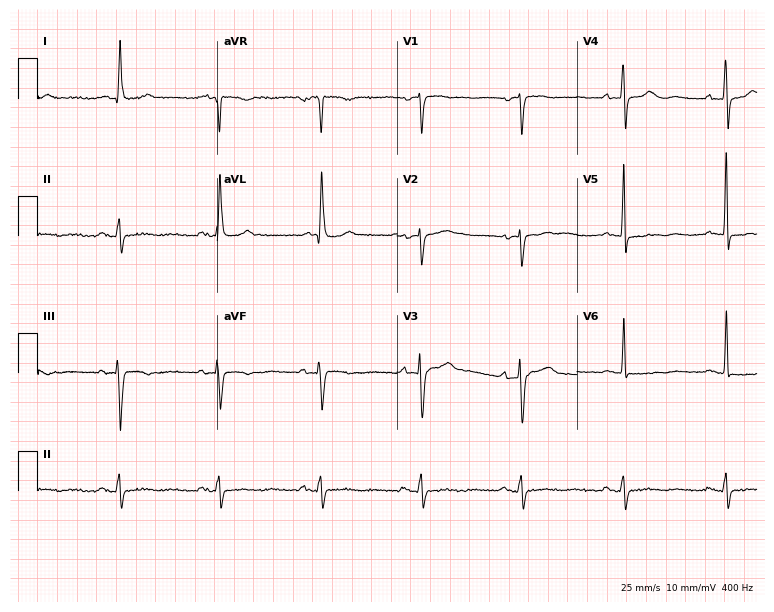
ECG — a female, 85 years old. Screened for six findings — first-degree AV block, right bundle branch block, left bundle branch block, sinus bradycardia, atrial fibrillation, sinus tachycardia — none is recorded. Findings outside these six are not listed.